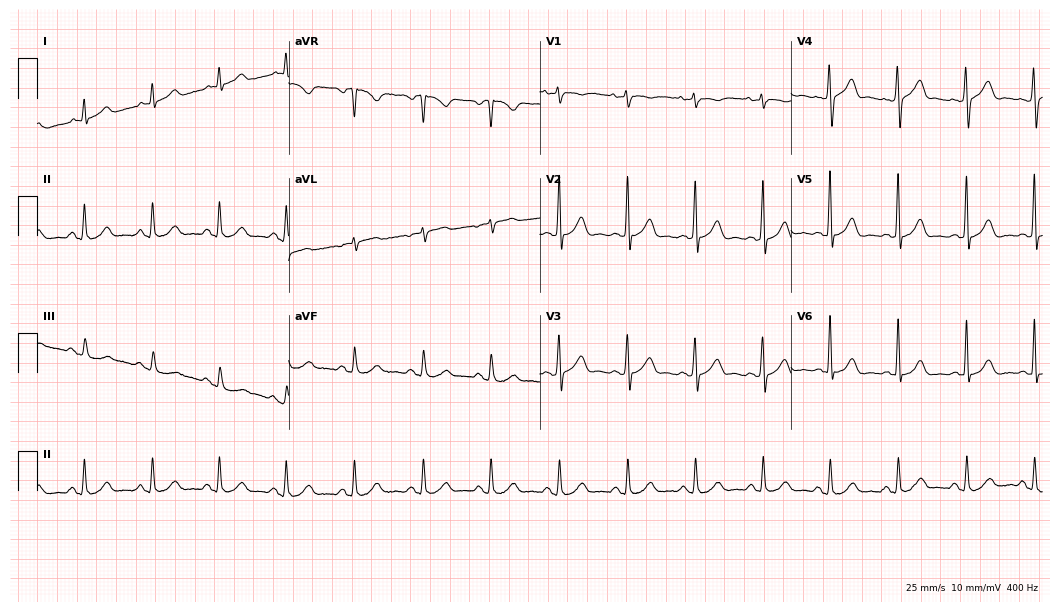
12-lead ECG (10.2-second recording at 400 Hz) from a male patient, 73 years old. Labelled as a normal ECG.